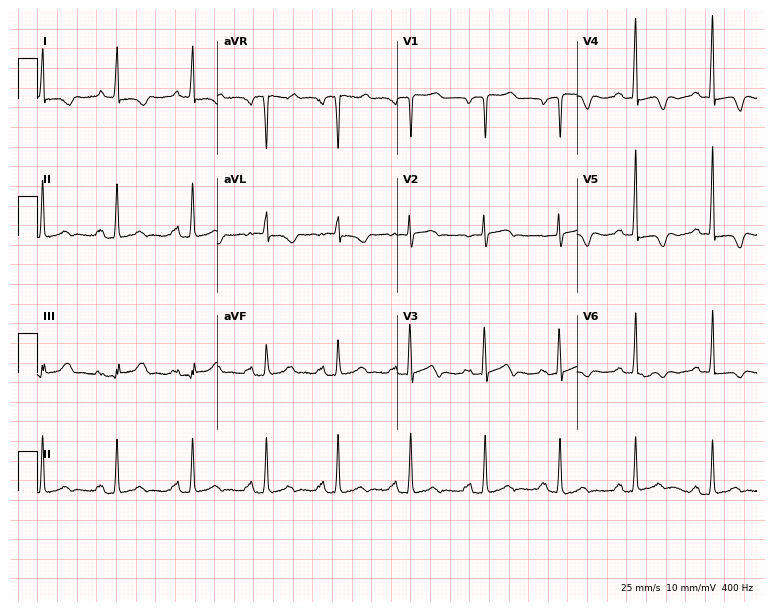
ECG (7.3-second recording at 400 Hz) — a 72-year-old female patient. Screened for six findings — first-degree AV block, right bundle branch block, left bundle branch block, sinus bradycardia, atrial fibrillation, sinus tachycardia — none is recorded.